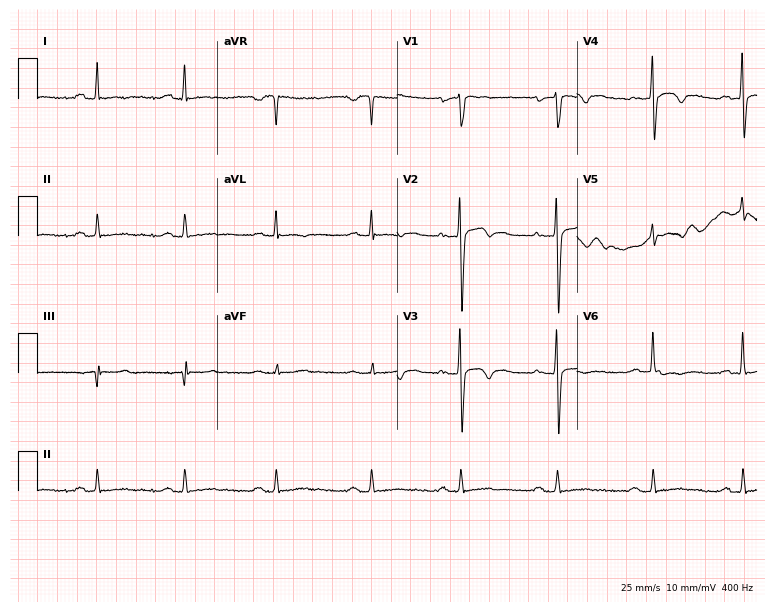
12-lead ECG from a male patient, 34 years old (7.3-second recording at 400 Hz). No first-degree AV block, right bundle branch block (RBBB), left bundle branch block (LBBB), sinus bradycardia, atrial fibrillation (AF) or sinus tachycardia recorded for this tracing. Other findings, if any, are not listed.